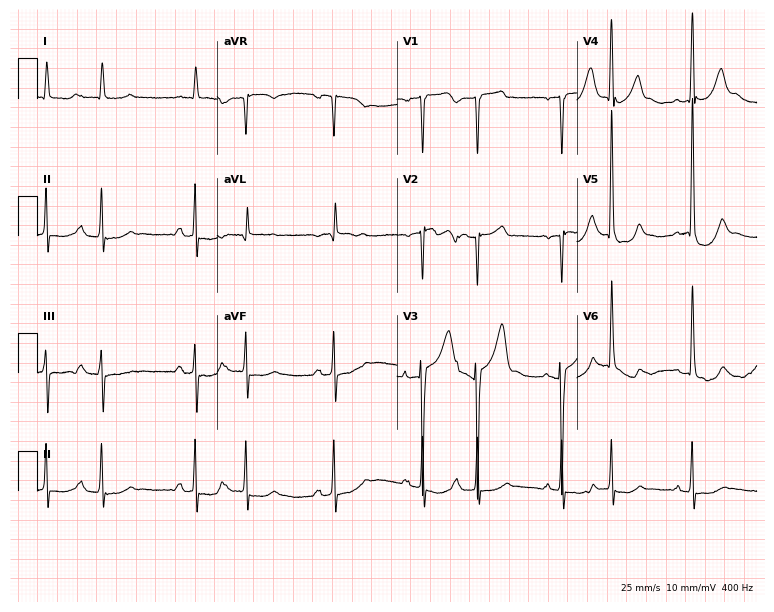
ECG — a 72-year-old man. Screened for six findings — first-degree AV block, right bundle branch block, left bundle branch block, sinus bradycardia, atrial fibrillation, sinus tachycardia — none is recorded. Other findings, if any, are not listed.